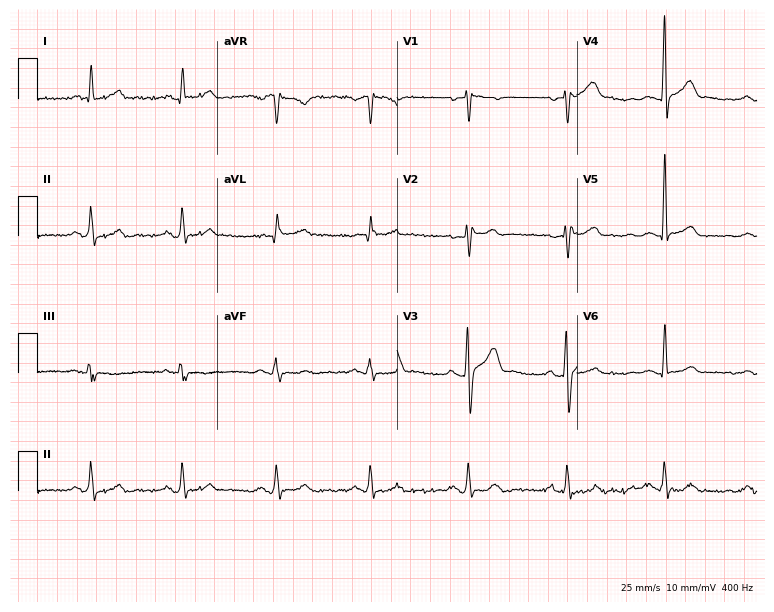
Resting 12-lead electrocardiogram (7.3-second recording at 400 Hz). Patient: a 42-year-old man. Read as a normal ECG.